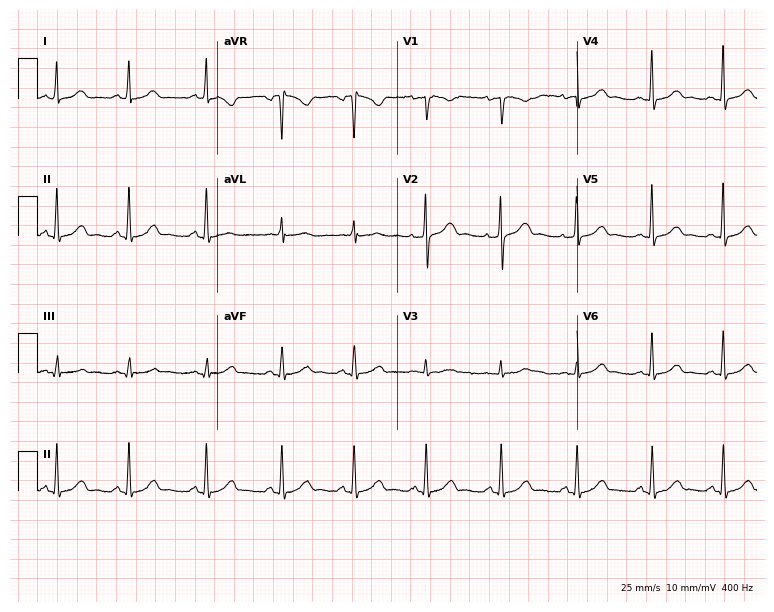
Standard 12-lead ECG recorded from a 38-year-old female. Read as a normal ECG.